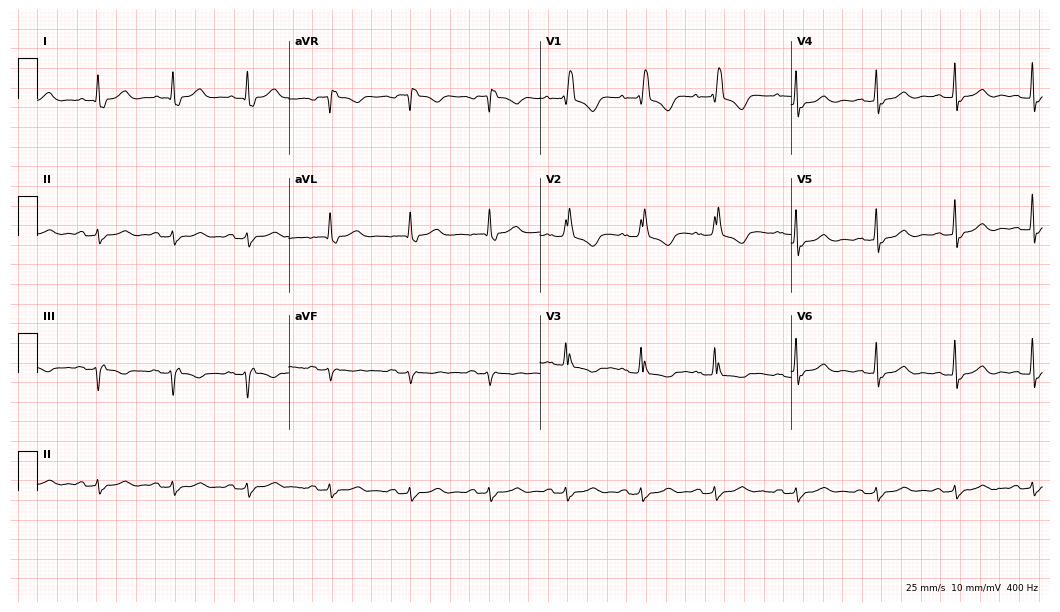
ECG — a 77-year-old female. Findings include right bundle branch block (RBBB).